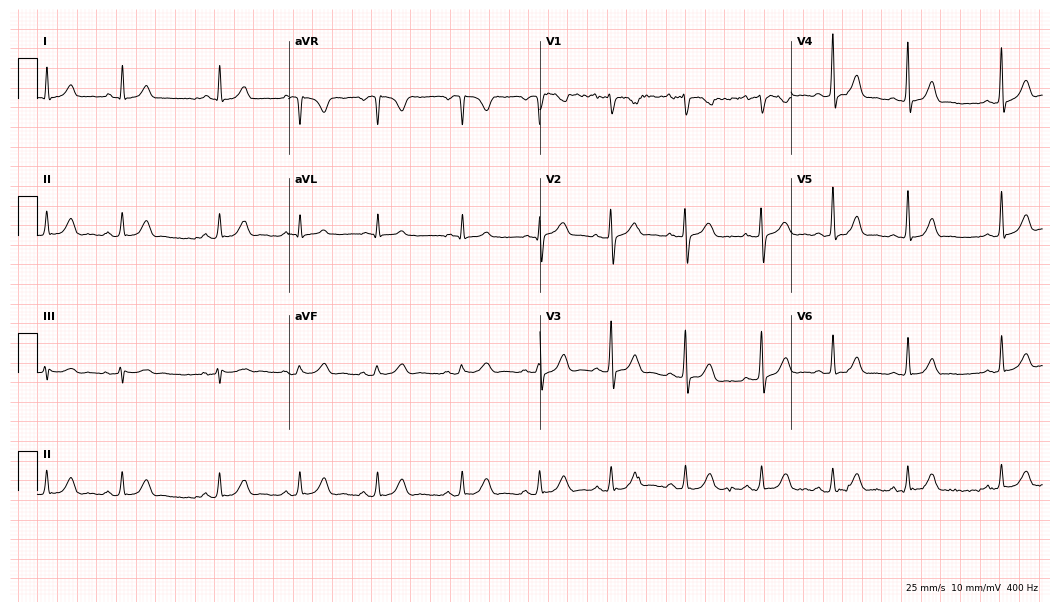
ECG — a 27-year-old female. Labelled as a normal ECG.